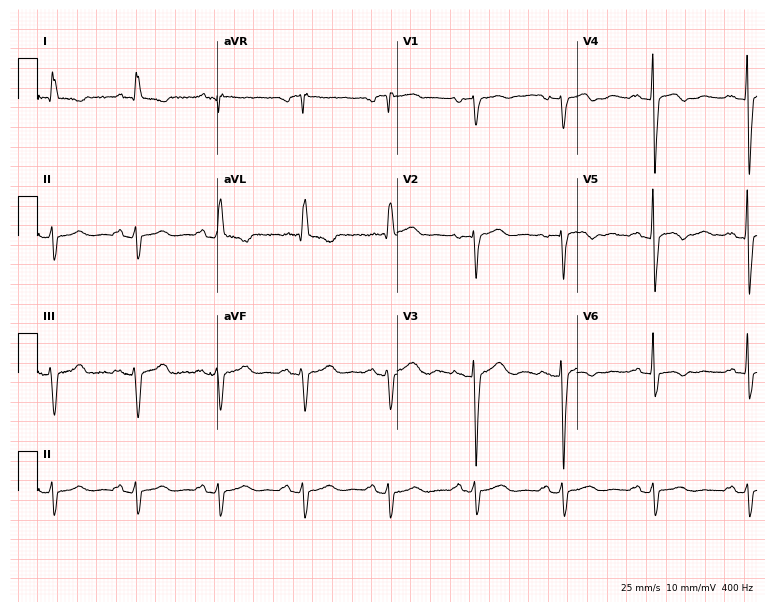
Standard 12-lead ECG recorded from a 69-year-old female patient (7.3-second recording at 400 Hz). None of these six findings is recorded: first-degree AV block, right bundle branch block, left bundle branch block, sinus bradycardia, atrial fibrillation, sinus tachycardia.